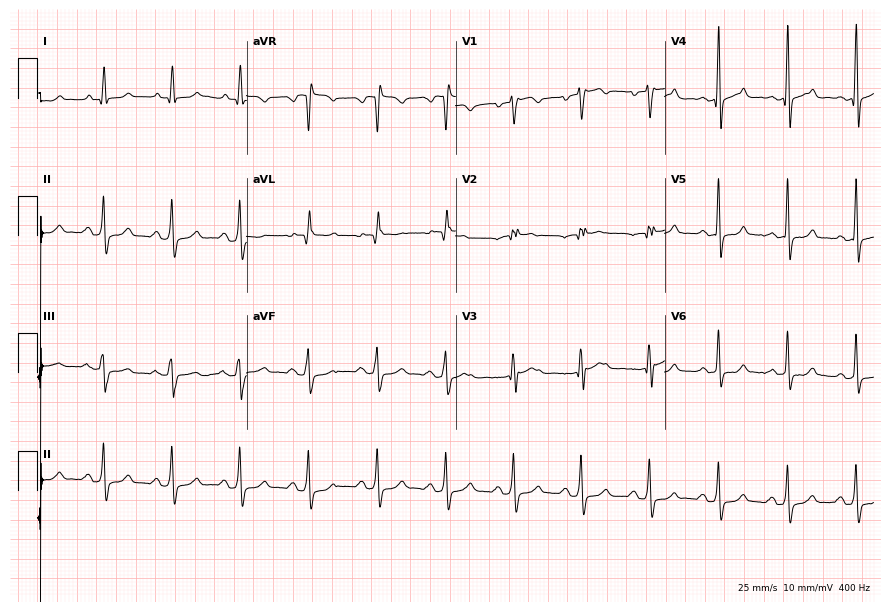
12-lead ECG from a male patient, 54 years old (8.5-second recording at 400 Hz). No first-degree AV block, right bundle branch block (RBBB), left bundle branch block (LBBB), sinus bradycardia, atrial fibrillation (AF) or sinus tachycardia recorded for this tracing.